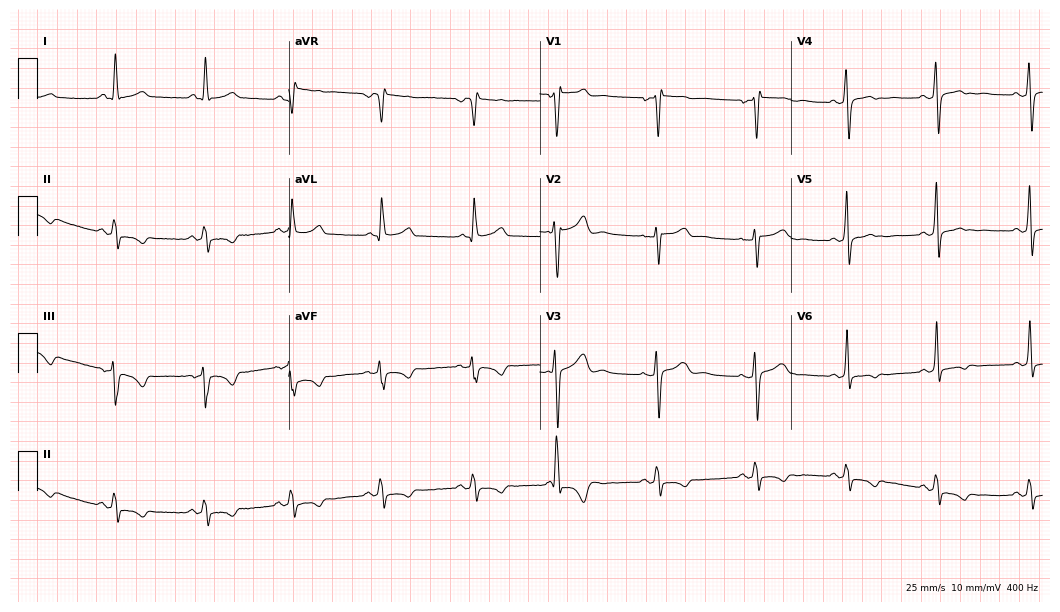
Electrocardiogram (10.2-second recording at 400 Hz), a 43-year-old female. Of the six screened findings (first-degree AV block, right bundle branch block (RBBB), left bundle branch block (LBBB), sinus bradycardia, atrial fibrillation (AF), sinus tachycardia), none is recorded. Only these six findings were labelled.